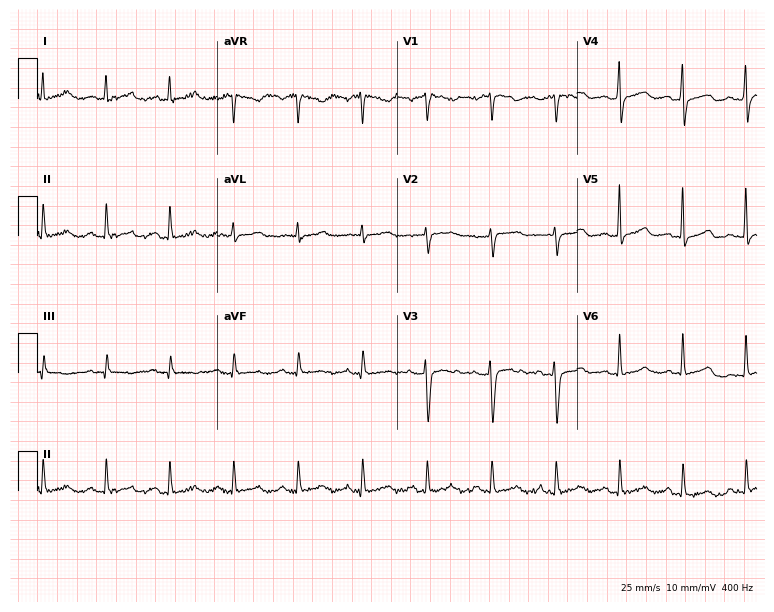
Electrocardiogram, a woman, 45 years old. Of the six screened findings (first-degree AV block, right bundle branch block (RBBB), left bundle branch block (LBBB), sinus bradycardia, atrial fibrillation (AF), sinus tachycardia), none is recorded. Only these six findings were labelled.